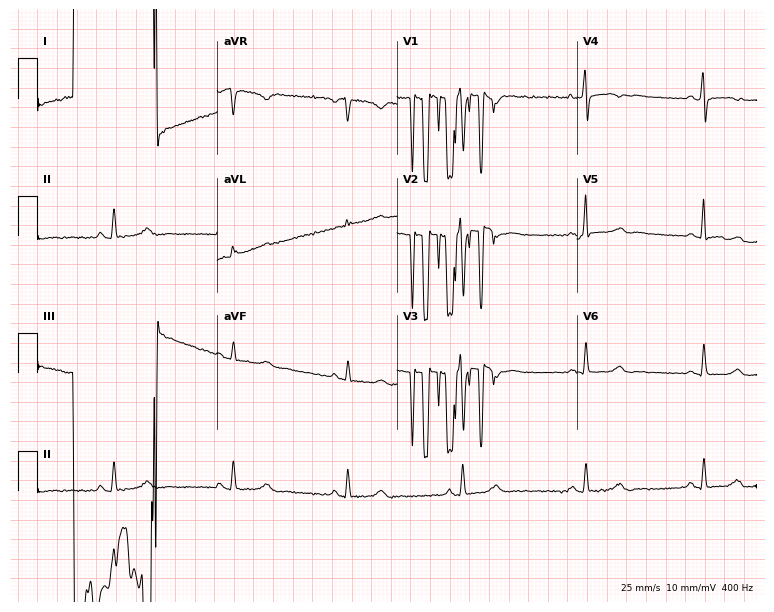
Standard 12-lead ECG recorded from a 42-year-old woman (7.3-second recording at 400 Hz). None of these six findings is recorded: first-degree AV block, right bundle branch block (RBBB), left bundle branch block (LBBB), sinus bradycardia, atrial fibrillation (AF), sinus tachycardia.